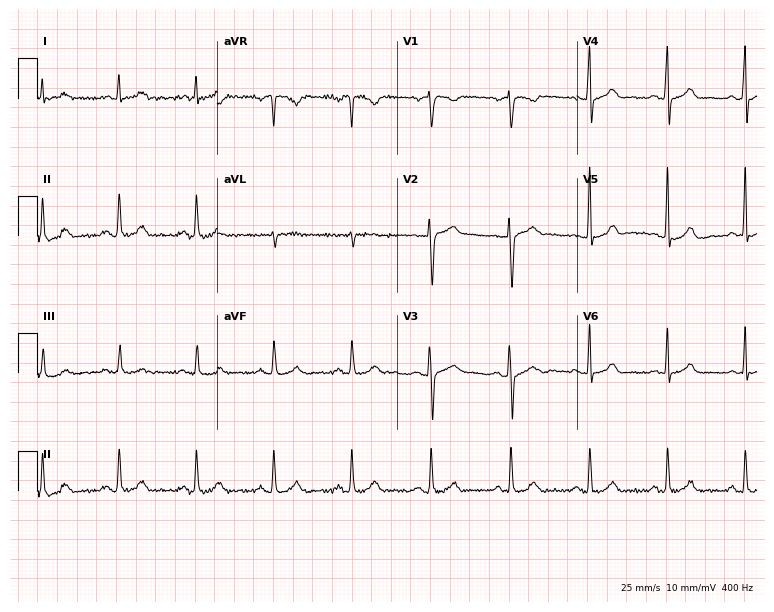
ECG (7.3-second recording at 400 Hz) — a man, 51 years old. Labelled as a normal ECG.